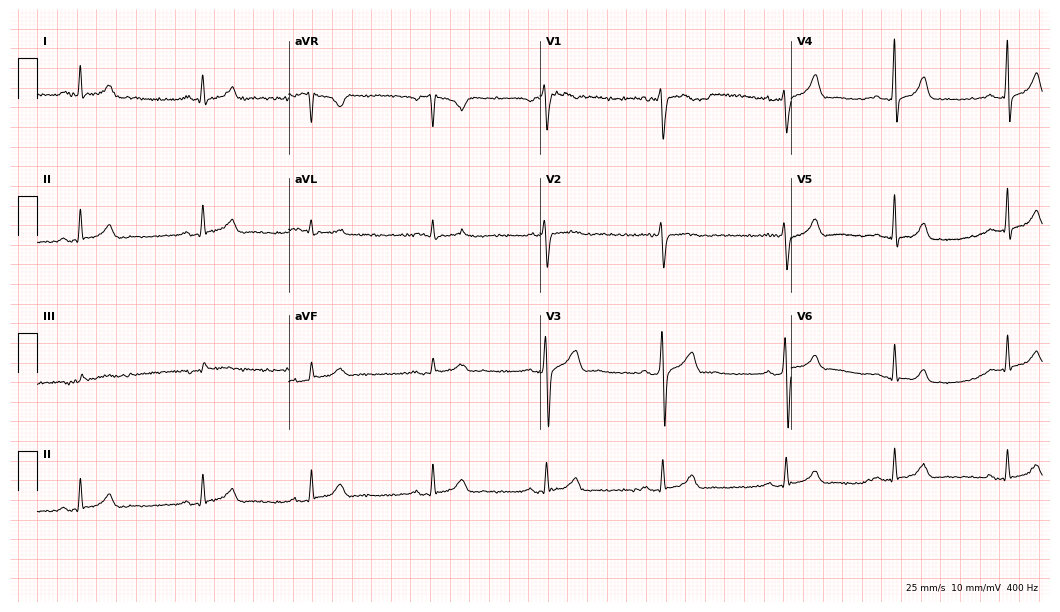
12-lead ECG (10.2-second recording at 400 Hz) from a man, 38 years old. Labelled as a normal ECG.